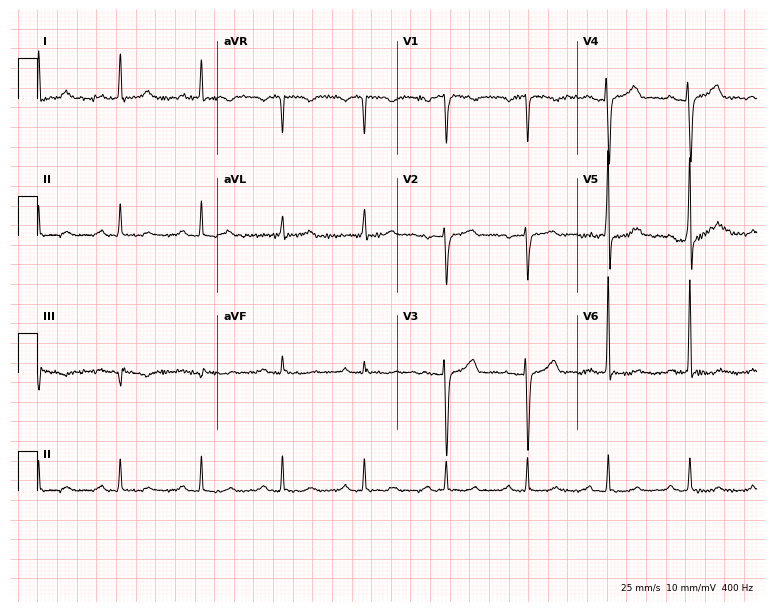
Standard 12-lead ECG recorded from a 62-year-old woman (7.3-second recording at 400 Hz). Read as a normal ECG.